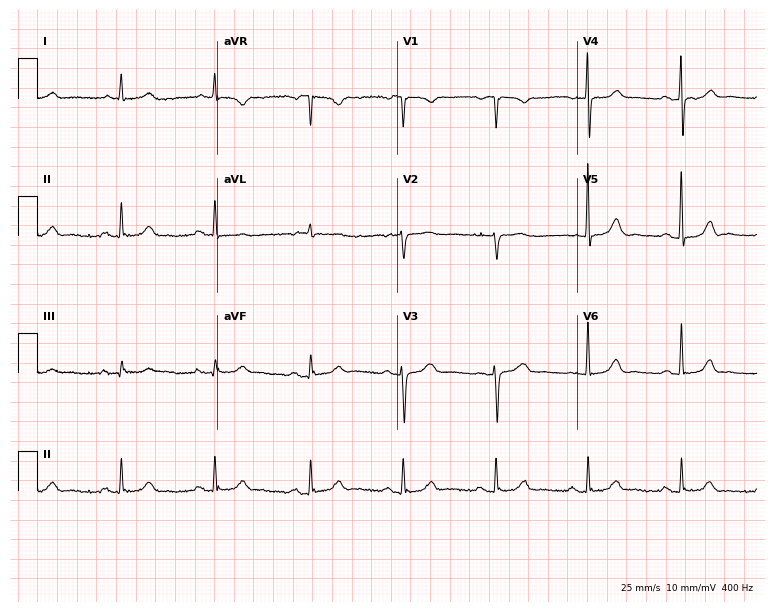
ECG — a female, 59 years old. Labelled as a normal ECG.